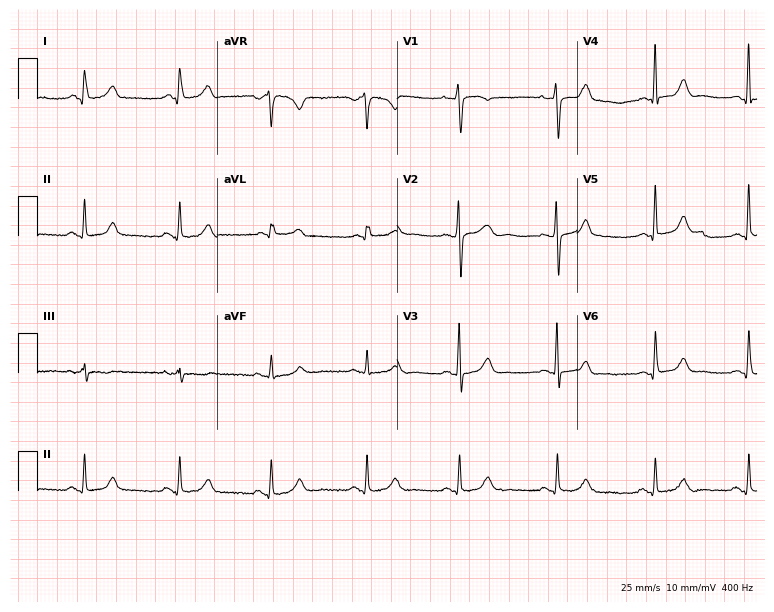
12-lead ECG from a 52-year-old woman. Recorded interpretation: within normal limits.